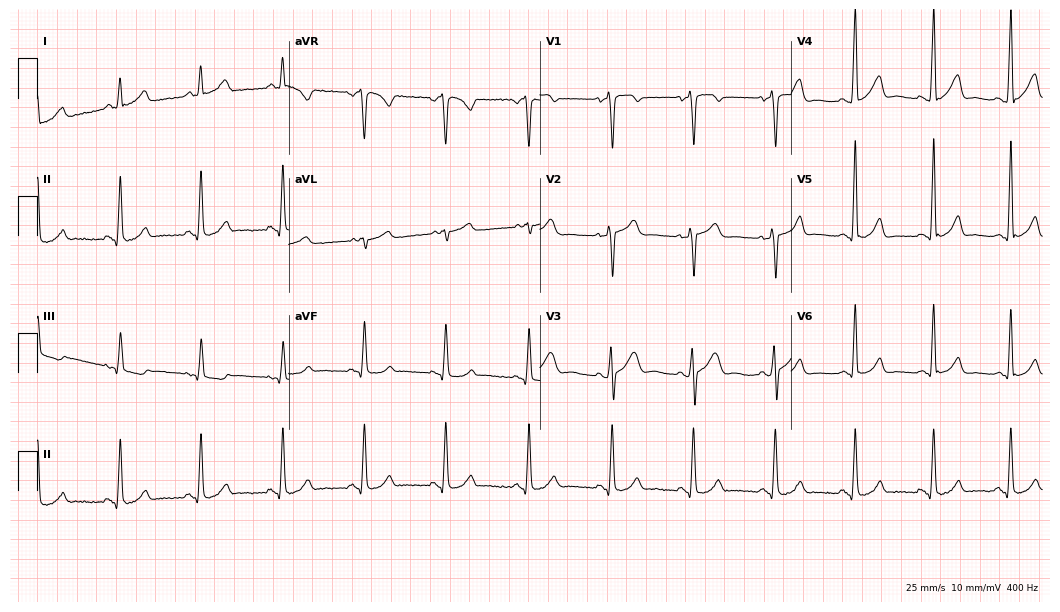
Resting 12-lead electrocardiogram. Patient: a man, 30 years old. Read as a normal ECG.